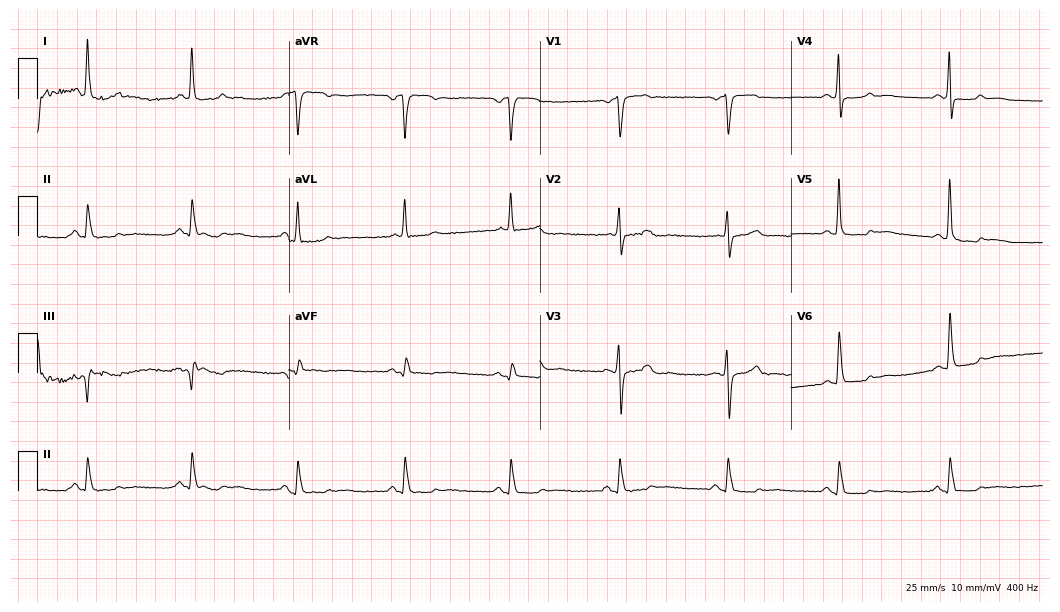
Standard 12-lead ECG recorded from a female patient, 71 years old. None of these six findings is recorded: first-degree AV block, right bundle branch block, left bundle branch block, sinus bradycardia, atrial fibrillation, sinus tachycardia.